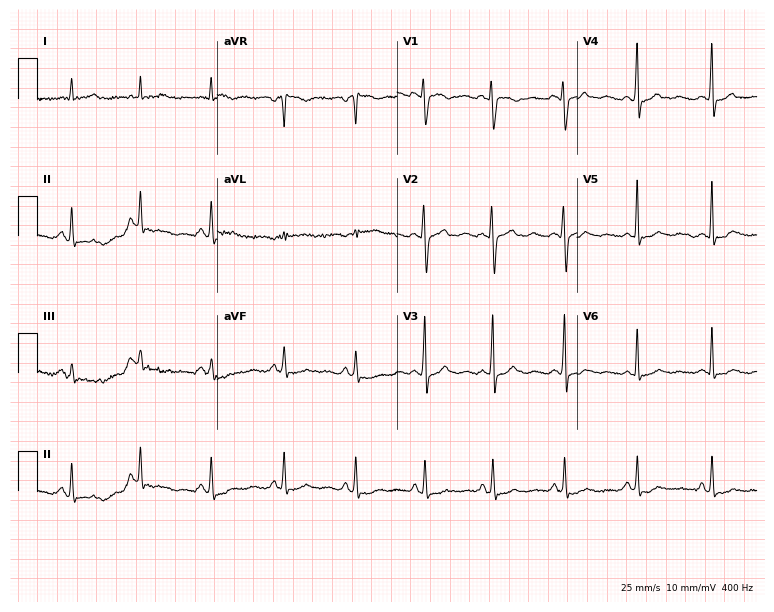
Resting 12-lead electrocardiogram. Patient: a 34-year-old female. Read as a normal ECG.